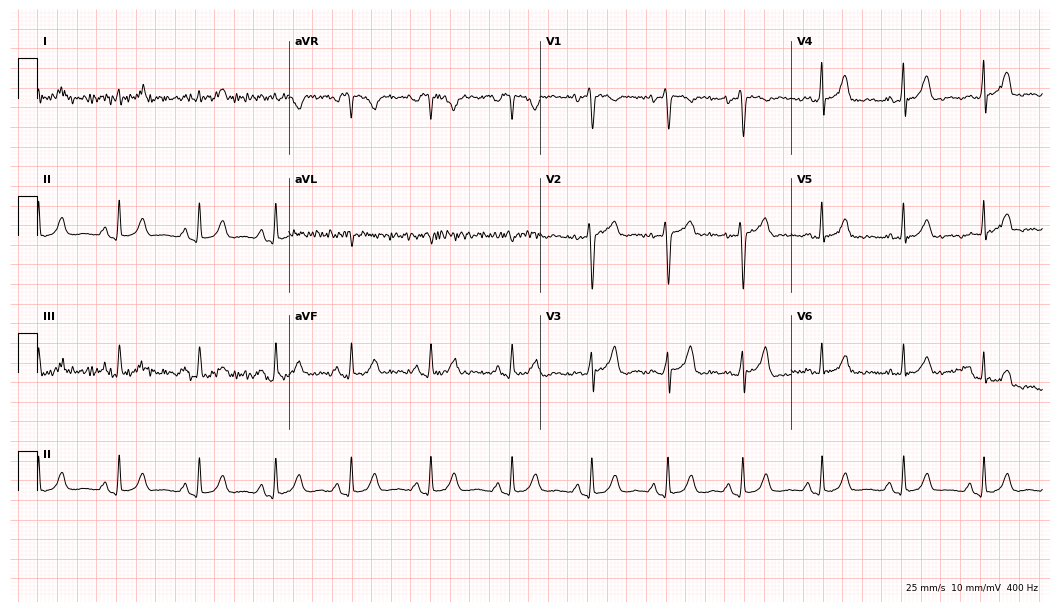
Electrocardiogram, a 44-year-old male. Overall reading on record: normal ECG.